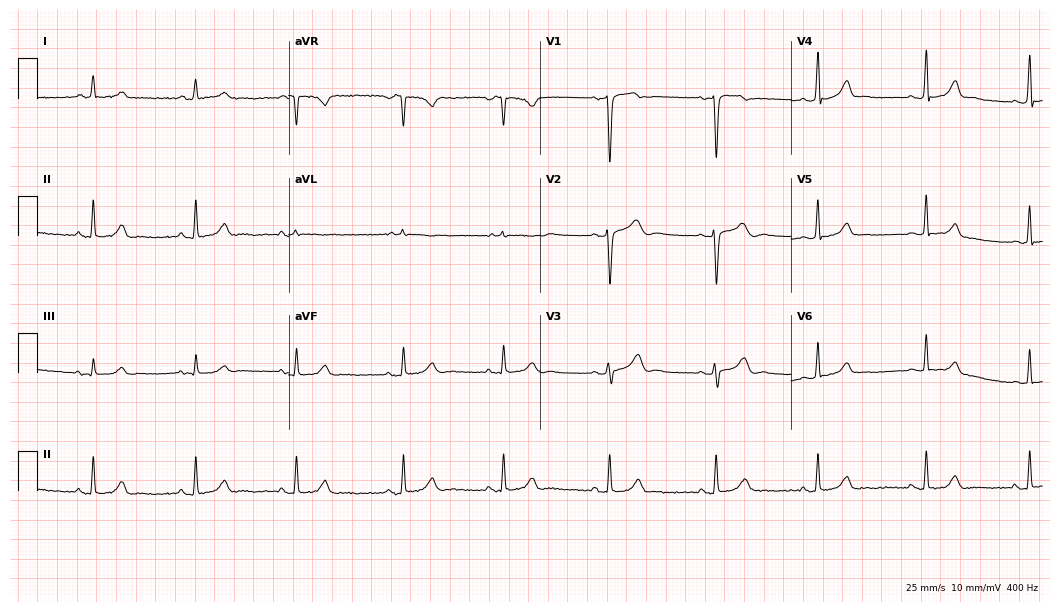
12-lead ECG (10.2-second recording at 400 Hz) from a 42-year-old woman. Screened for six findings — first-degree AV block, right bundle branch block, left bundle branch block, sinus bradycardia, atrial fibrillation, sinus tachycardia — none is recorded. Findings outside these six are not listed.